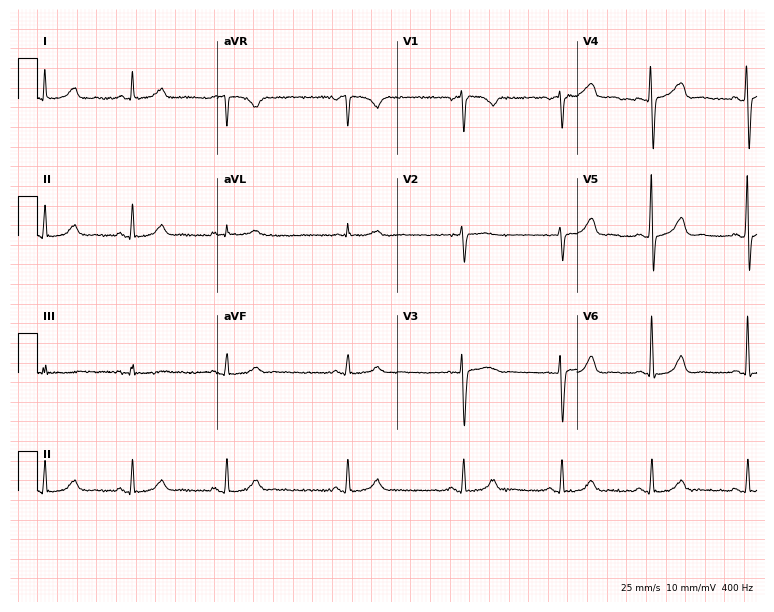
ECG — a 44-year-old female. Labelled as a normal ECG.